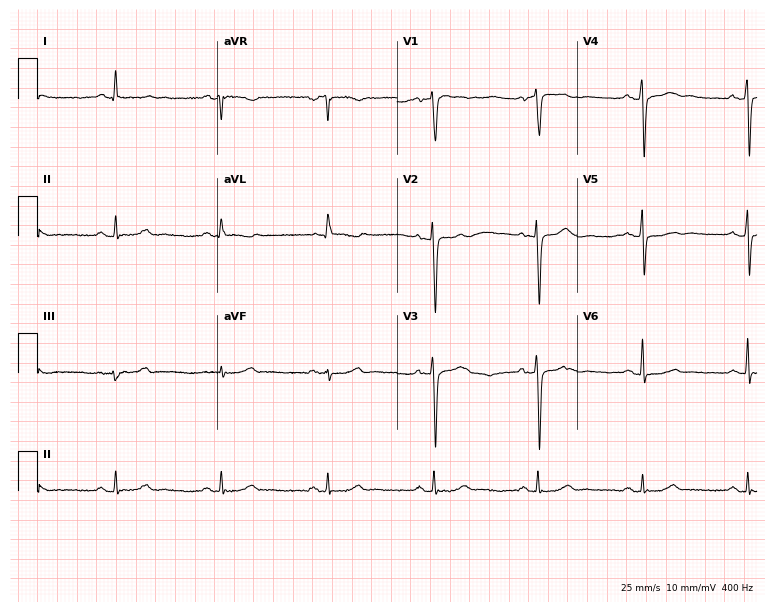
ECG — a male patient, 61 years old. Screened for six findings — first-degree AV block, right bundle branch block, left bundle branch block, sinus bradycardia, atrial fibrillation, sinus tachycardia — none is recorded.